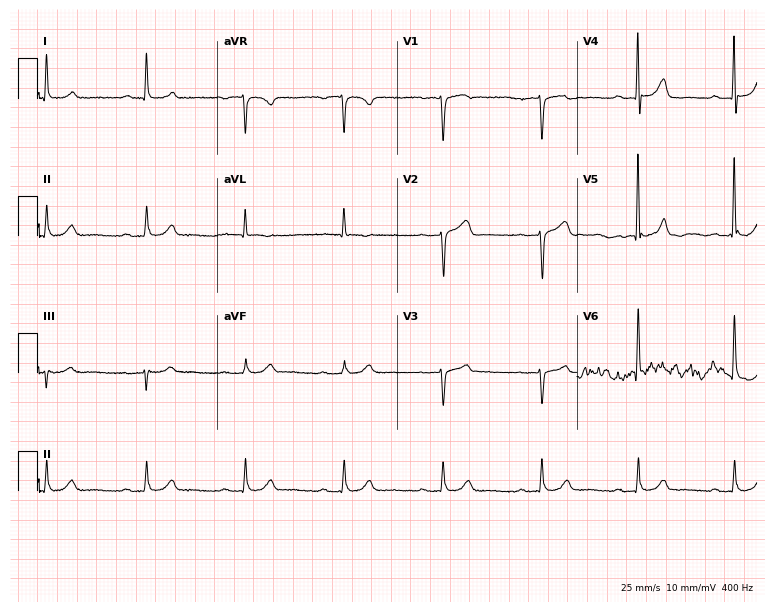
Electrocardiogram (7.3-second recording at 400 Hz), a 68-year-old male patient. Overall reading on record: normal ECG.